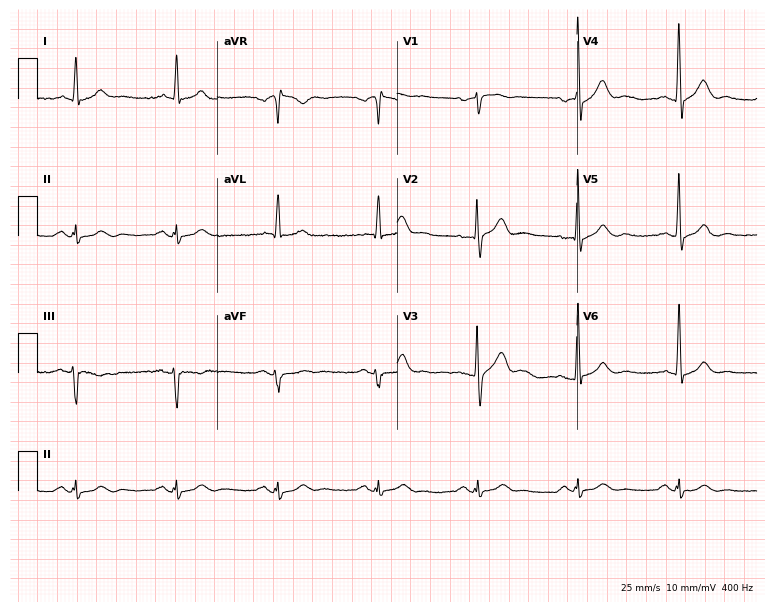
12-lead ECG (7.3-second recording at 400 Hz) from a 60-year-old male patient. Screened for six findings — first-degree AV block, right bundle branch block (RBBB), left bundle branch block (LBBB), sinus bradycardia, atrial fibrillation (AF), sinus tachycardia — none is recorded.